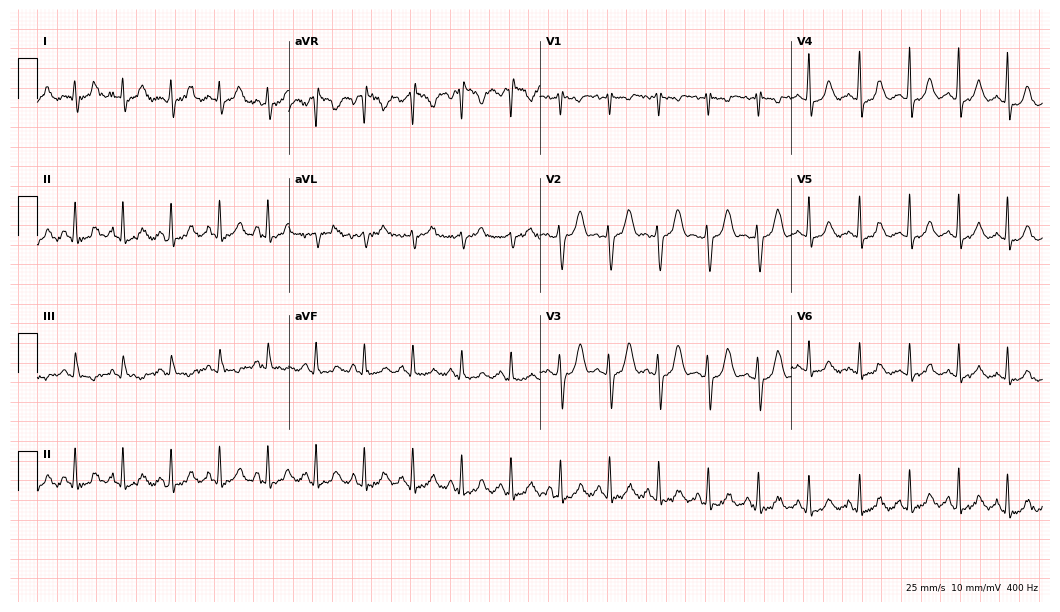
ECG (10.2-second recording at 400 Hz) — a 40-year-old woman. Findings include sinus tachycardia (a sinus rate of 100 beats per minute or more).